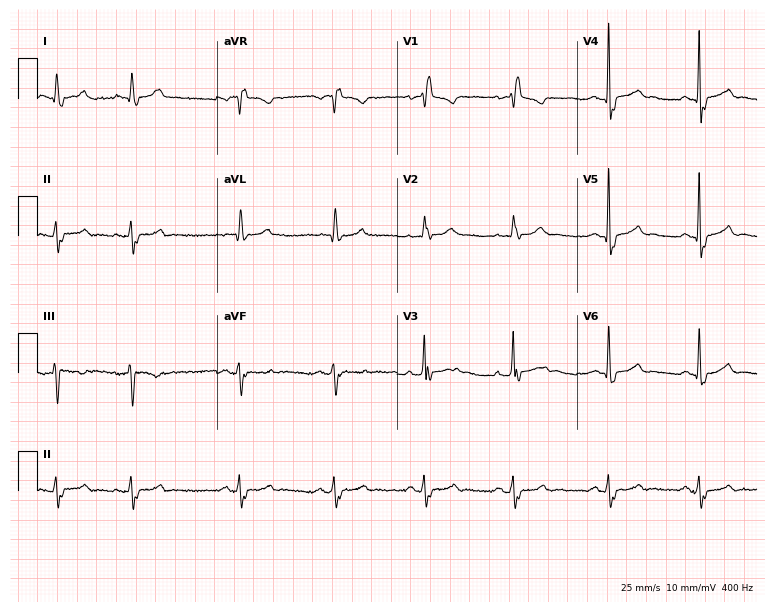
ECG (7.3-second recording at 400 Hz) — a man, 74 years old. Screened for six findings — first-degree AV block, right bundle branch block (RBBB), left bundle branch block (LBBB), sinus bradycardia, atrial fibrillation (AF), sinus tachycardia — none is recorded. Only these six findings were labelled.